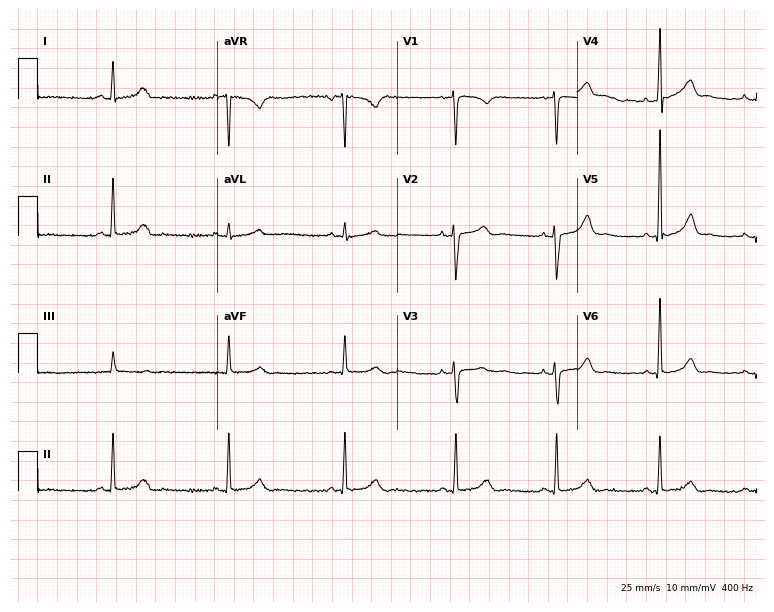
12-lead ECG from a female patient, 37 years old (7.3-second recording at 400 Hz). No first-degree AV block, right bundle branch block, left bundle branch block, sinus bradycardia, atrial fibrillation or sinus tachycardia recorded for this tracing. Only these six findings were labelled.